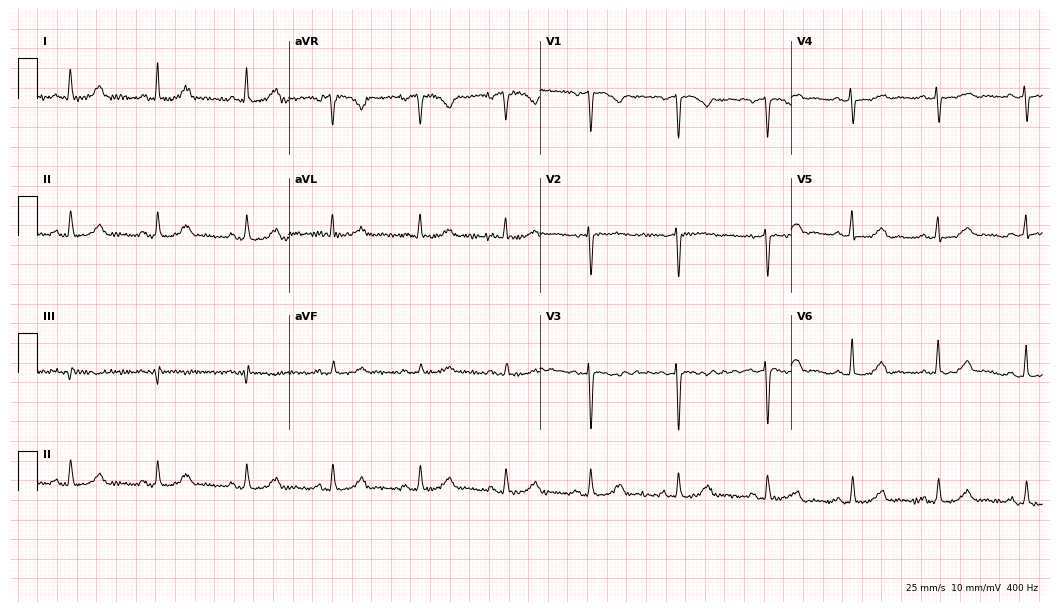
12-lead ECG from a 52-year-old female patient (10.2-second recording at 400 Hz). Recorded interpretation: within normal limits.